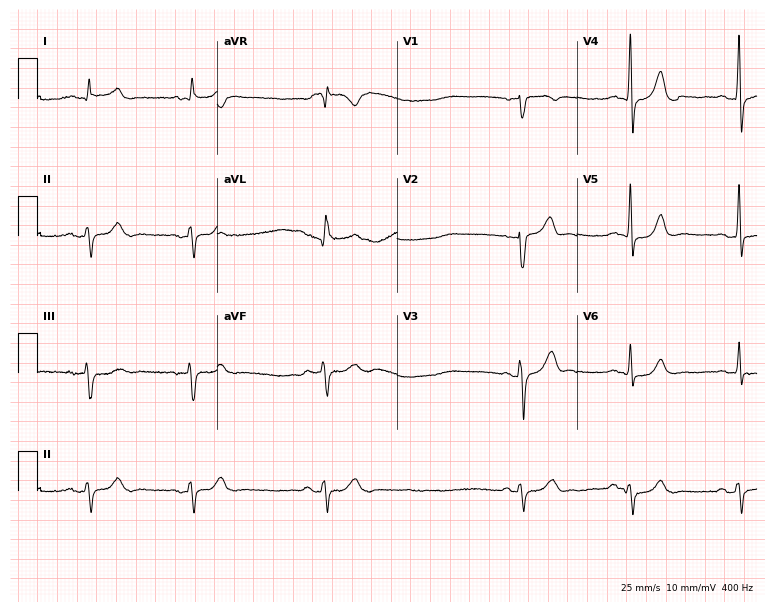
ECG — a male patient, 66 years old. Screened for six findings — first-degree AV block, right bundle branch block, left bundle branch block, sinus bradycardia, atrial fibrillation, sinus tachycardia — none is recorded.